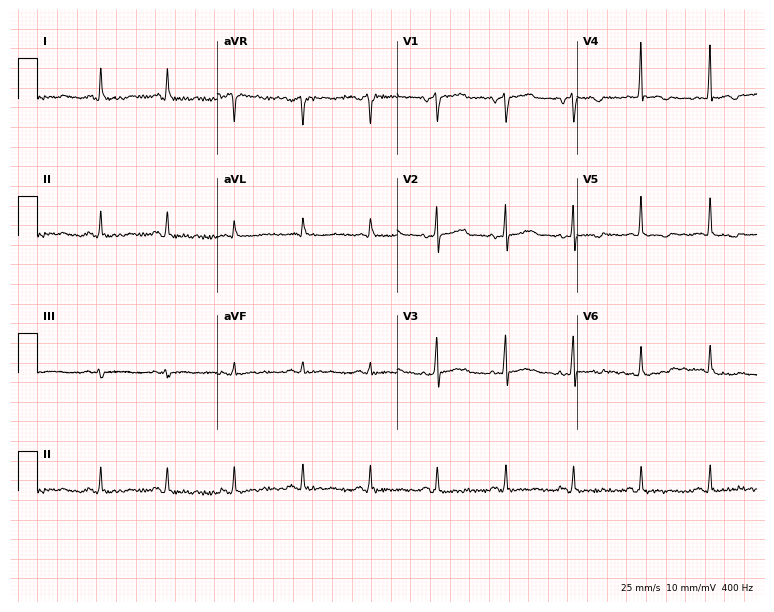
ECG (7.3-second recording at 400 Hz) — a 38-year-old female patient. Screened for six findings — first-degree AV block, right bundle branch block, left bundle branch block, sinus bradycardia, atrial fibrillation, sinus tachycardia — none is recorded.